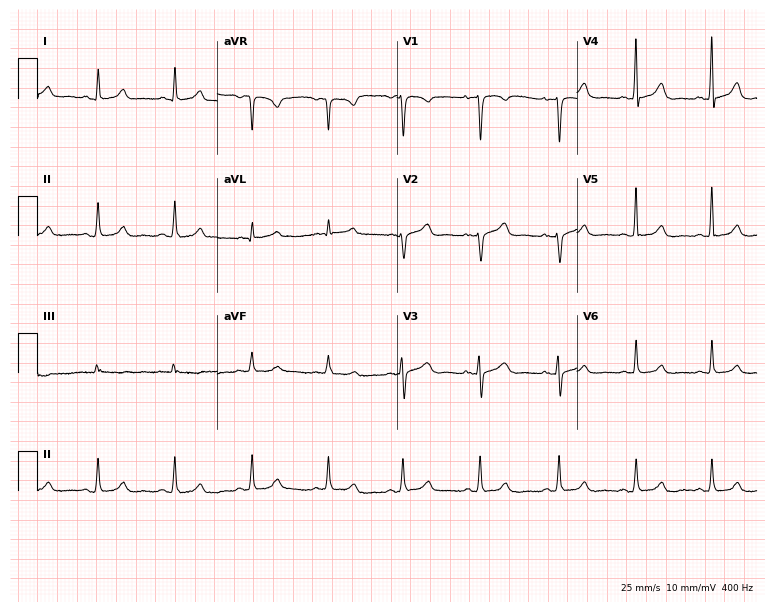
12-lead ECG from a female patient, 42 years old. Labelled as a normal ECG.